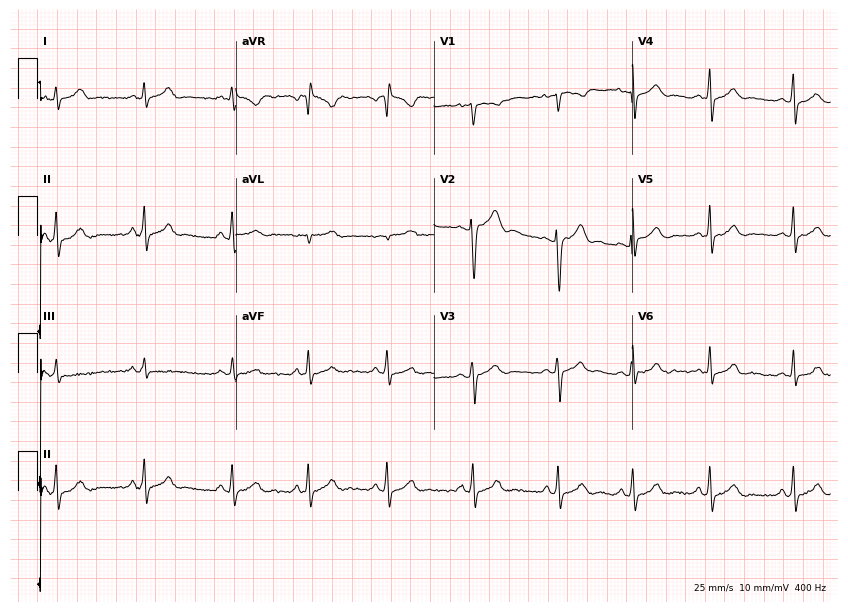
Standard 12-lead ECG recorded from an 18-year-old female patient (8.1-second recording at 400 Hz). None of these six findings is recorded: first-degree AV block, right bundle branch block (RBBB), left bundle branch block (LBBB), sinus bradycardia, atrial fibrillation (AF), sinus tachycardia.